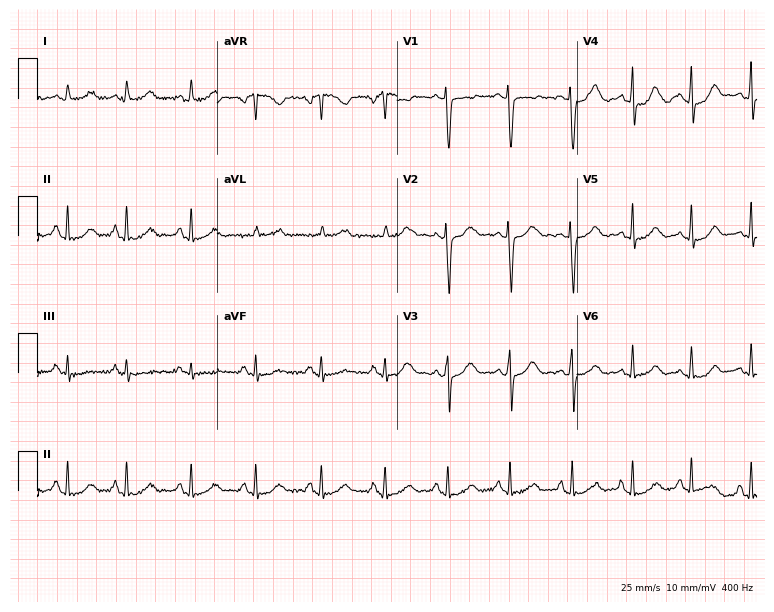
Electrocardiogram (7.3-second recording at 400 Hz), a 33-year-old woman. Overall reading on record: normal ECG.